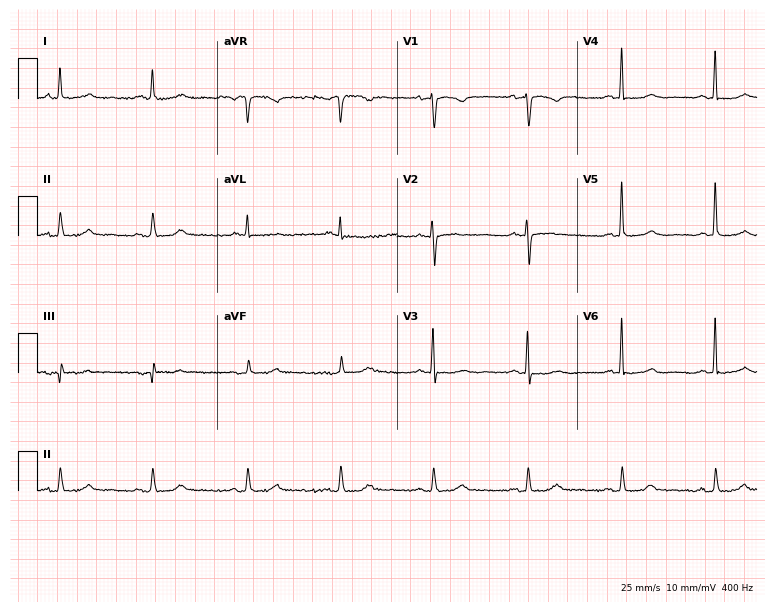
Standard 12-lead ECG recorded from an 85-year-old female (7.3-second recording at 400 Hz). None of these six findings is recorded: first-degree AV block, right bundle branch block, left bundle branch block, sinus bradycardia, atrial fibrillation, sinus tachycardia. Findings outside these six are not listed.